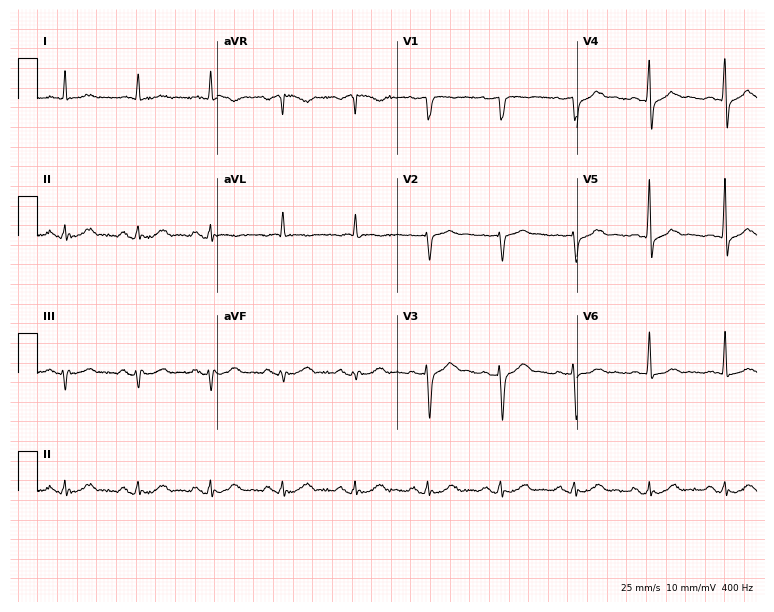
Standard 12-lead ECG recorded from an 85-year-old male. None of these six findings is recorded: first-degree AV block, right bundle branch block, left bundle branch block, sinus bradycardia, atrial fibrillation, sinus tachycardia. Only these six findings were labelled.